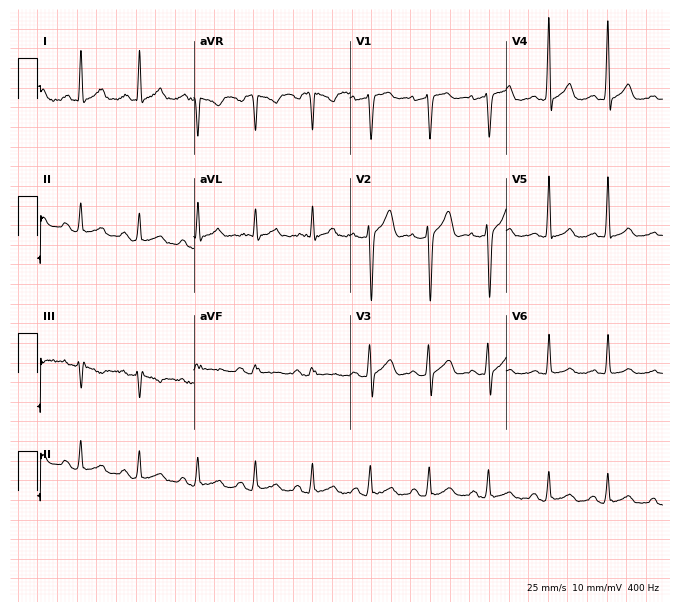
Standard 12-lead ECG recorded from a male patient, 45 years old. None of these six findings is recorded: first-degree AV block, right bundle branch block (RBBB), left bundle branch block (LBBB), sinus bradycardia, atrial fibrillation (AF), sinus tachycardia. Only these six findings were labelled.